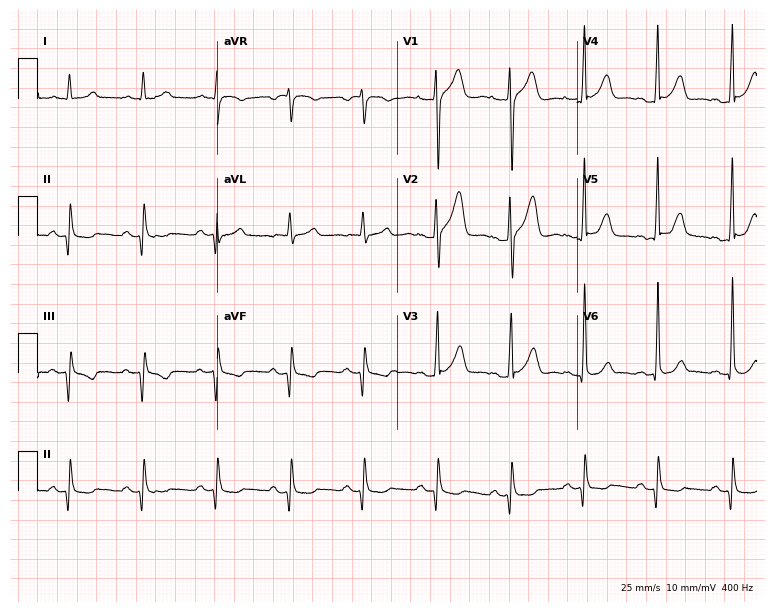
Resting 12-lead electrocardiogram (7.3-second recording at 400 Hz). Patient: a 60-year-old man. Read as a normal ECG.